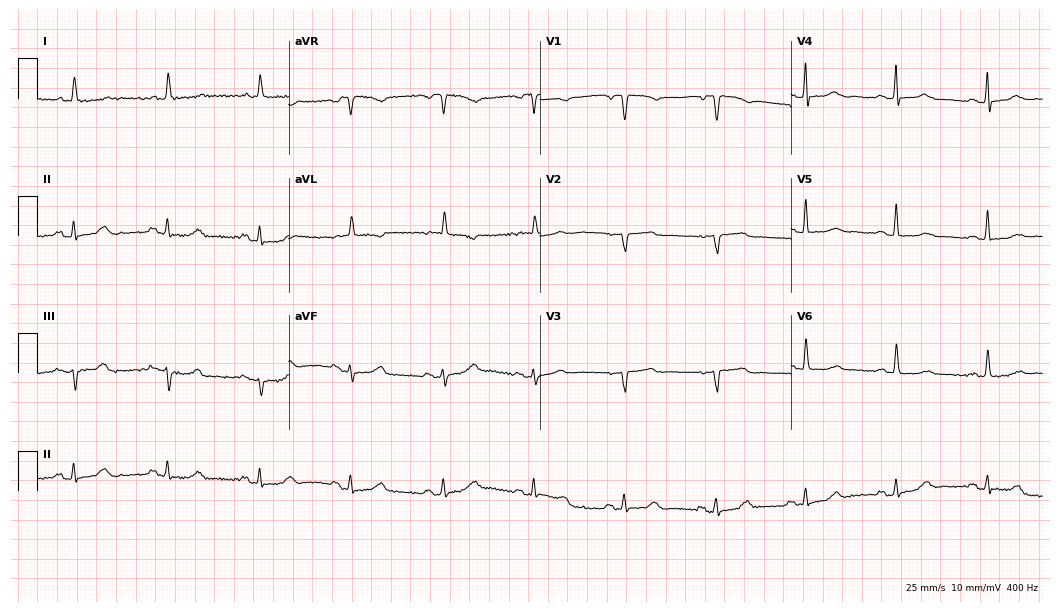
Standard 12-lead ECG recorded from a female patient, 67 years old (10.2-second recording at 400 Hz). None of these six findings is recorded: first-degree AV block, right bundle branch block (RBBB), left bundle branch block (LBBB), sinus bradycardia, atrial fibrillation (AF), sinus tachycardia.